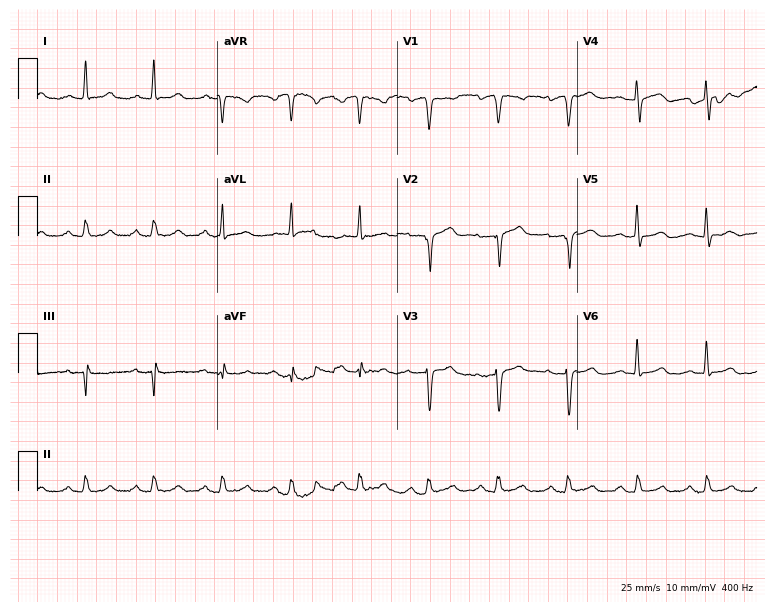
Electrocardiogram, a male patient, 72 years old. Of the six screened findings (first-degree AV block, right bundle branch block (RBBB), left bundle branch block (LBBB), sinus bradycardia, atrial fibrillation (AF), sinus tachycardia), none is recorded. Findings outside these six are not listed.